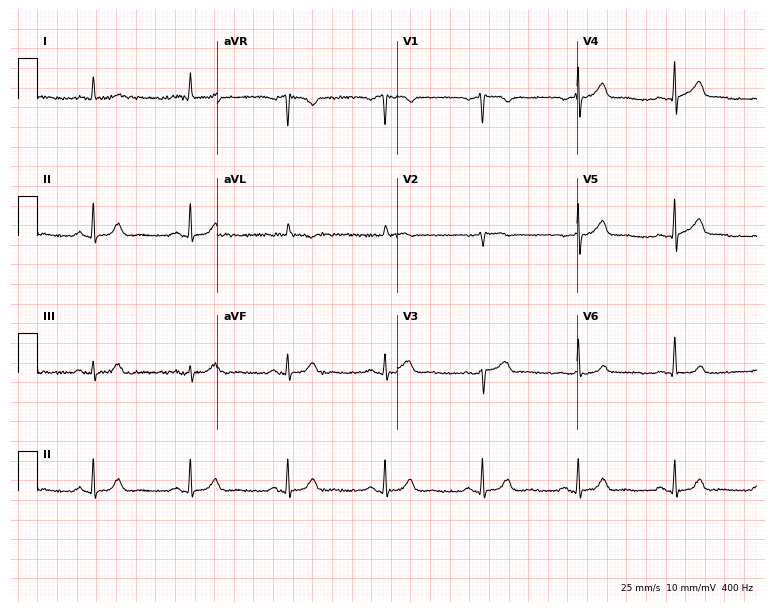
Resting 12-lead electrocardiogram (7.3-second recording at 400 Hz). Patient: a man, 79 years old. Read as a normal ECG.